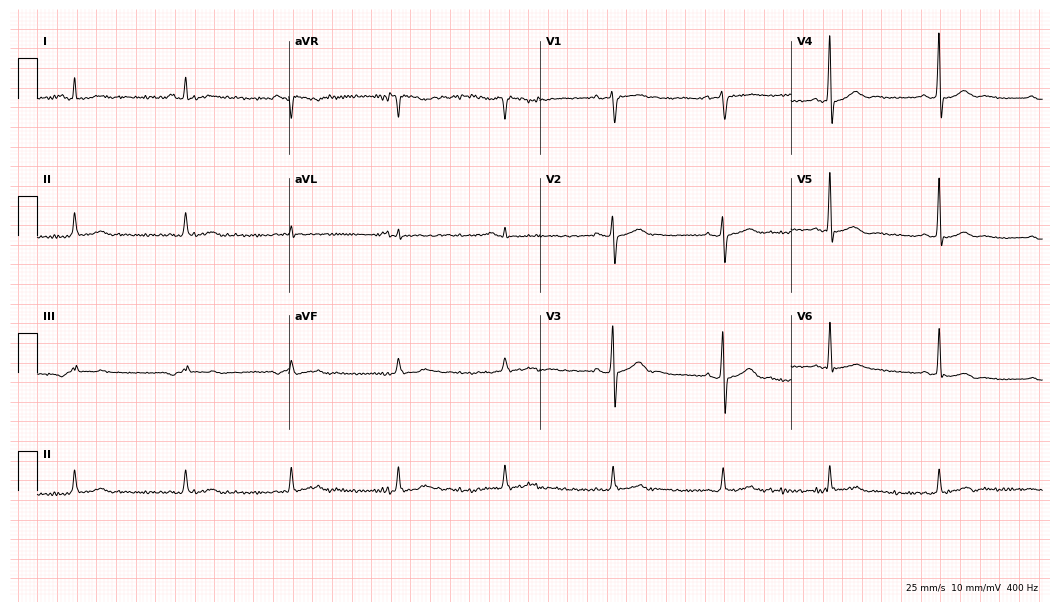
ECG — a man, 58 years old. Screened for six findings — first-degree AV block, right bundle branch block (RBBB), left bundle branch block (LBBB), sinus bradycardia, atrial fibrillation (AF), sinus tachycardia — none is recorded.